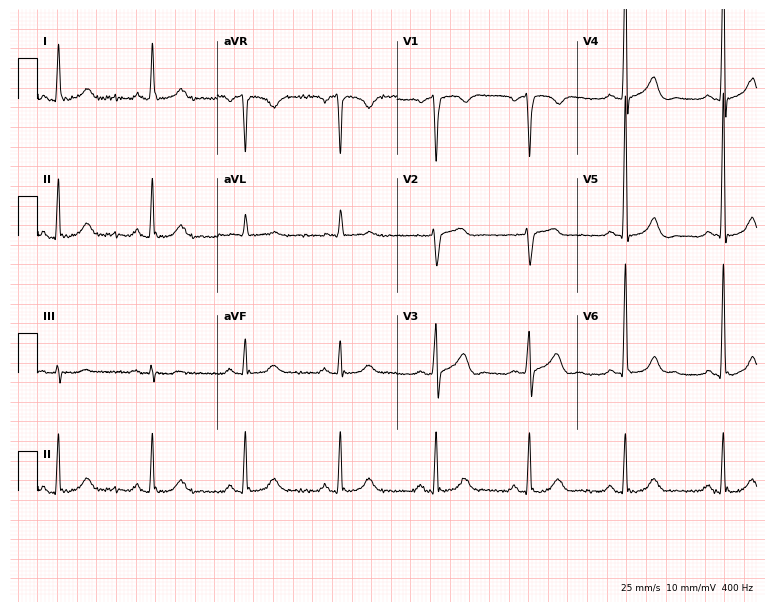
Resting 12-lead electrocardiogram (7.3-second recording at 400 Hz). Patient: an 84-year-old man. Read as a normal ECG.